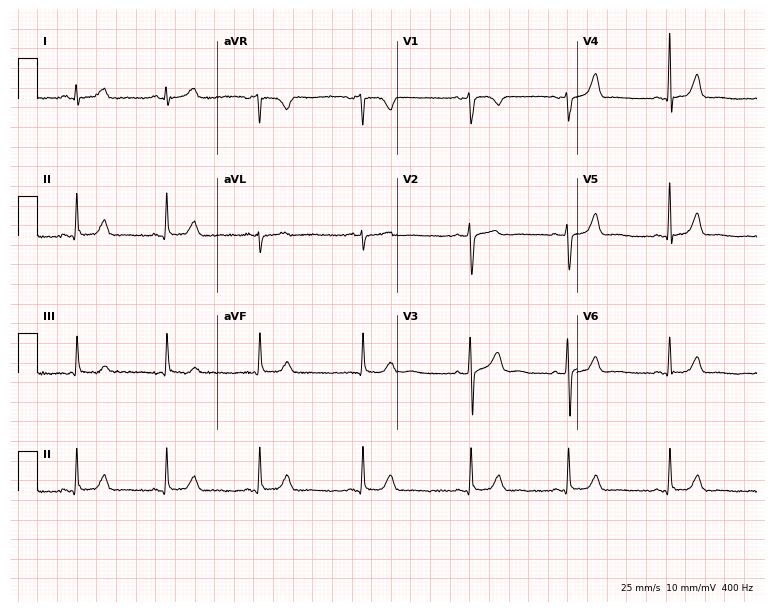
12-lead ECG from a 30-year-old woman. Screened for six findings — first-degree AV block, right bundle branch block (RBBB), left bundle branch block (LBBB), sinus bradycardia, atrial fibrillation (AF), sinus tachycardia — none is recorded. Findings outside these six are not listed.